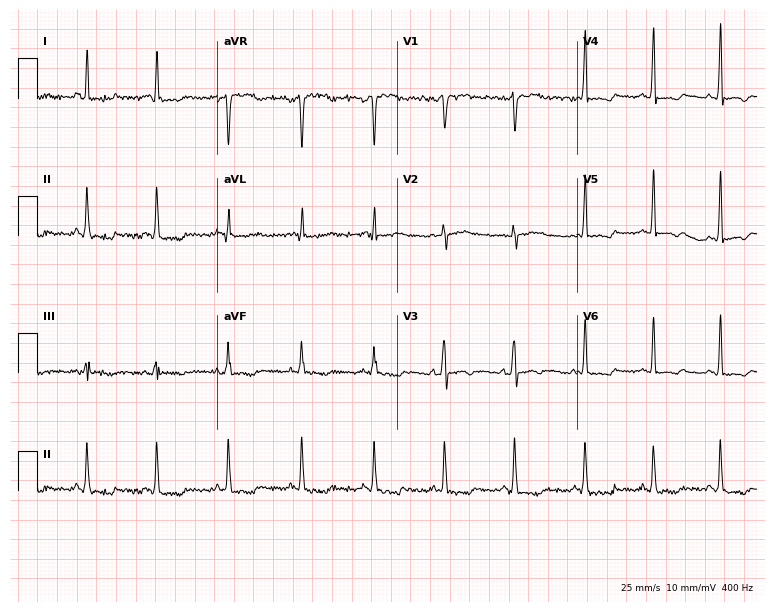
Standard 12-lead ECG recorded from a 50-year-old female patient. None of these six findings is recorded: first-degree AV block, right bundle branch block, left bundle branch block, sinus bradycardia, atrial fibrillation, sinus tachycardia.